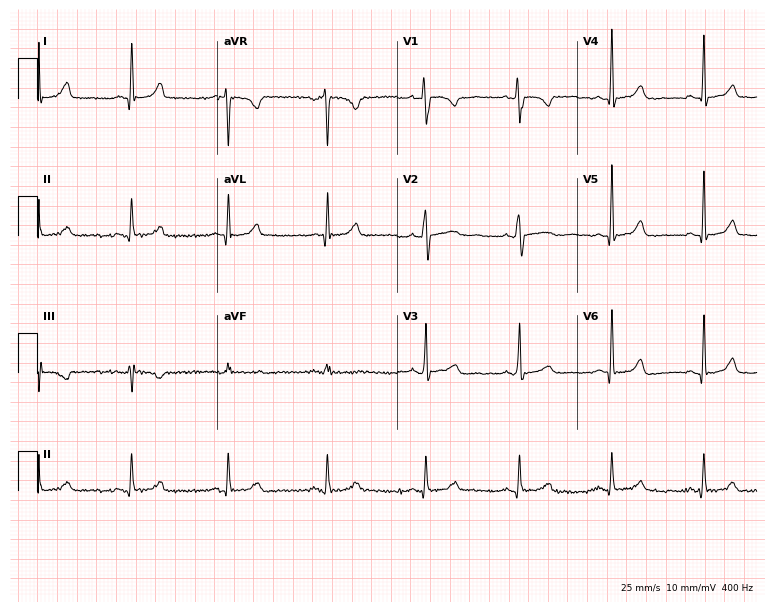
12-lead ECG from a female, 47 years old. Labelled as a normal ECG.